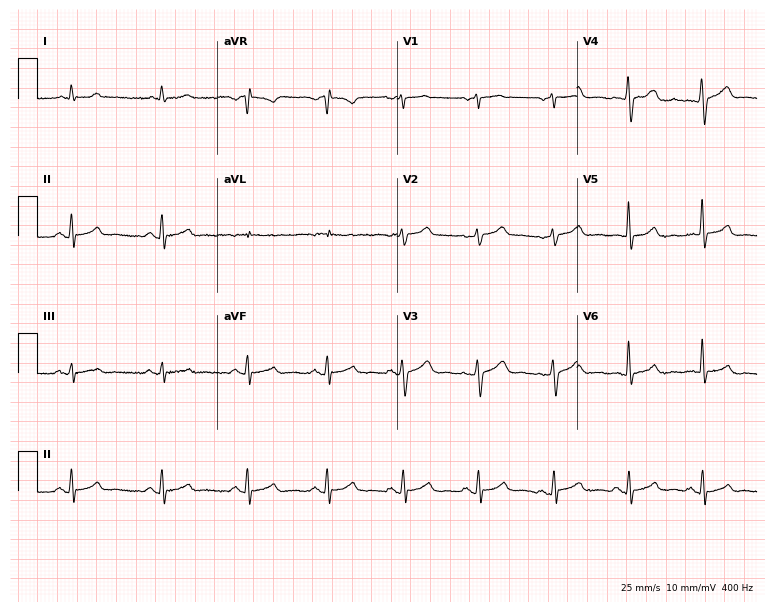
Resting 12-lead electrocardiogram (7.3-second recording at 400 Hz). Patient: a male, 73 years old. None of these six findings is recorded: first-degree AV block, right bundle branch block (RBBB), left bundle branch block (LBBB), sinus bradycardia, atrial fibrillation (AF), sinus tachycardia.